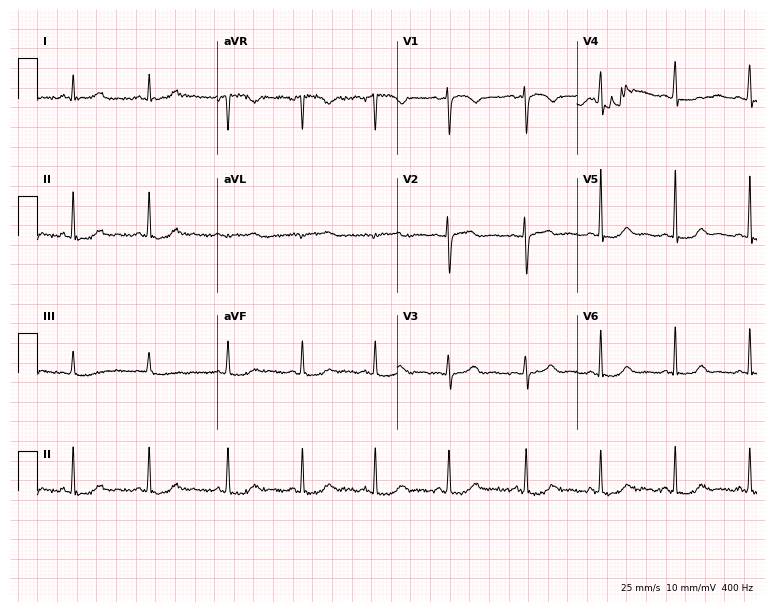
Standard 12-lead ECG recorded from a female patient, 47 years old. None of these six findings is recorded: first-degree AV block, right bundle branch block (RBBB), left bundle branch block (LBBB), sinus bradycardia, atrial fibrillation (AF), sinus tachycardia.